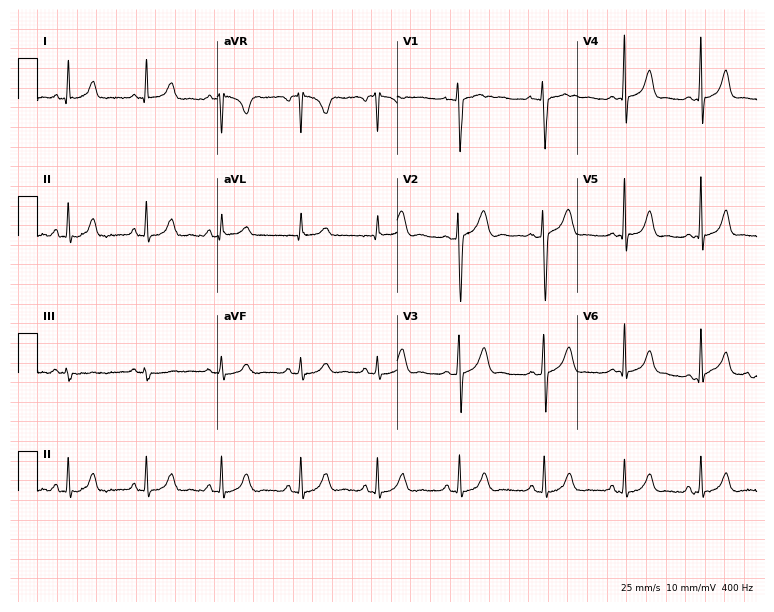
ECG — a 23-year-old woman. Labelled as a normal ECG.